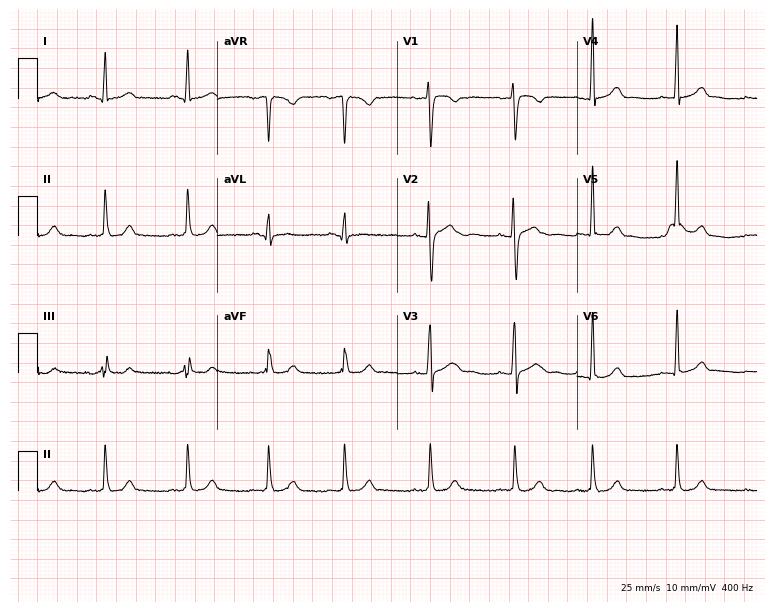
ECG (7.3-second recording at 400 Hz) — a female patient, 22 years old. Labelled as a normal ECG.